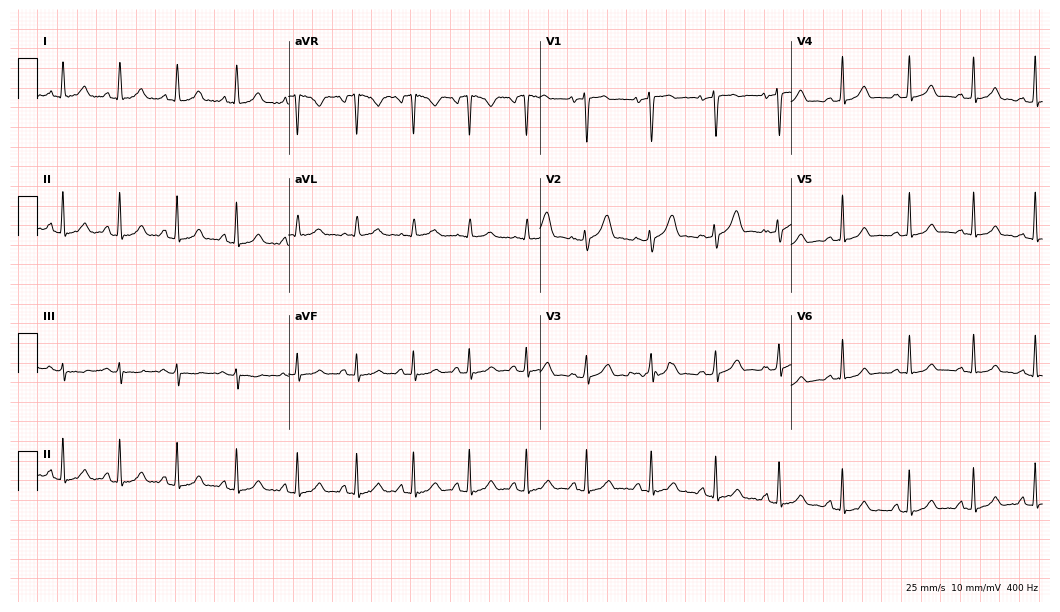
12-lead ECG from a female patient, 34 years old (10.2-second recording at 400 Hz). No first-degree AV block, right bundle branch block, left bundle branch block, sinus bradycardia, atrial fibrillation or sinus tachycardia recorded for this tracing.